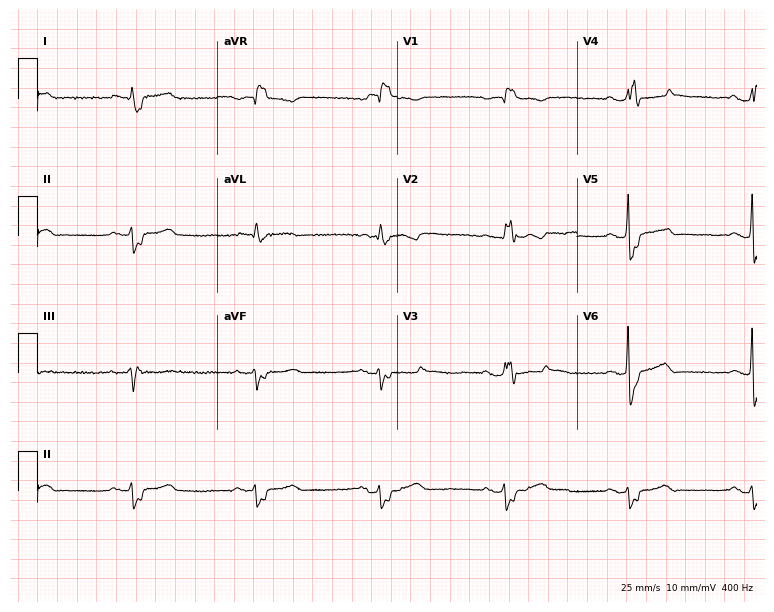
Resting 12-lead electrocardiogram (7.3-second recording at 400 Hz). Patient: a 79-year-old woman. The tracing shows right bundle branch block, sinus bradycardia (a sinus rate of 50 beats per minute or less).